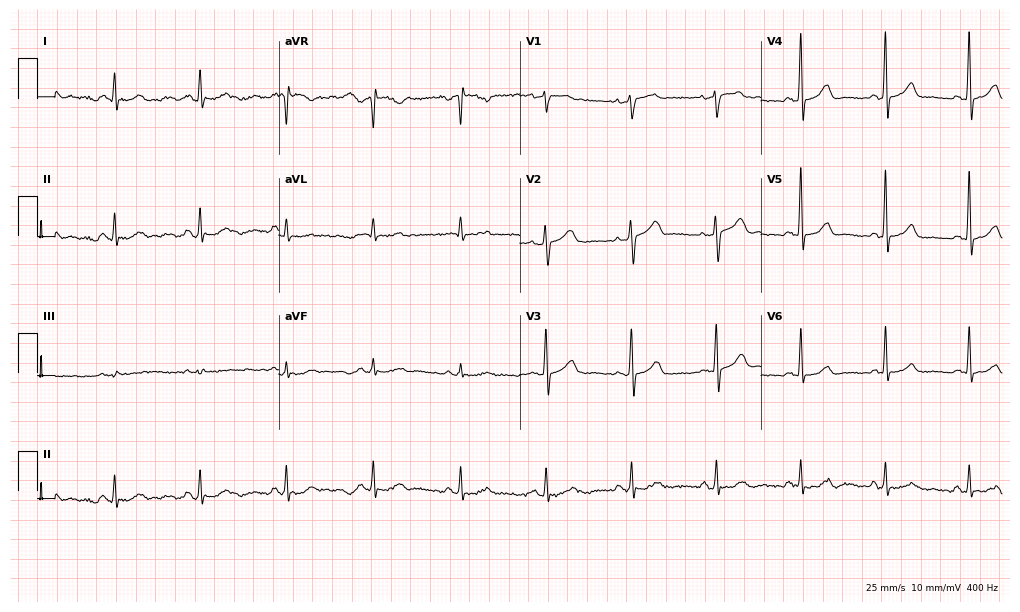
12-lead ECG from a woman, 59 years old (9.8-second recording at 400 Hz). Recorded interpretation: within normal limits.